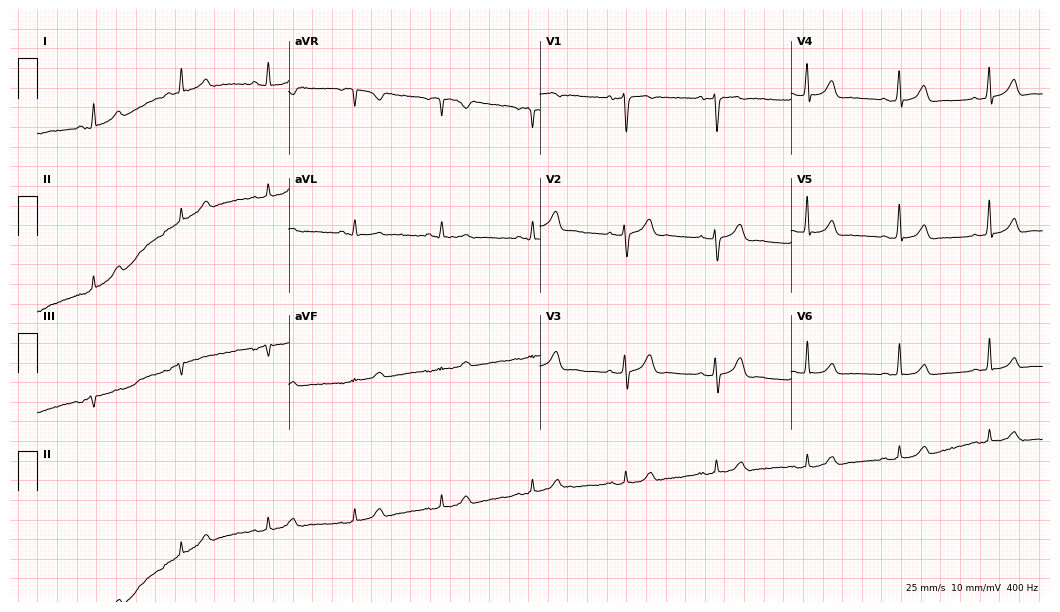
12-lead ECG from a 38-year-old male patient (10.2-second recording at 400 Hz). Recorded interpretation: within normal limits.